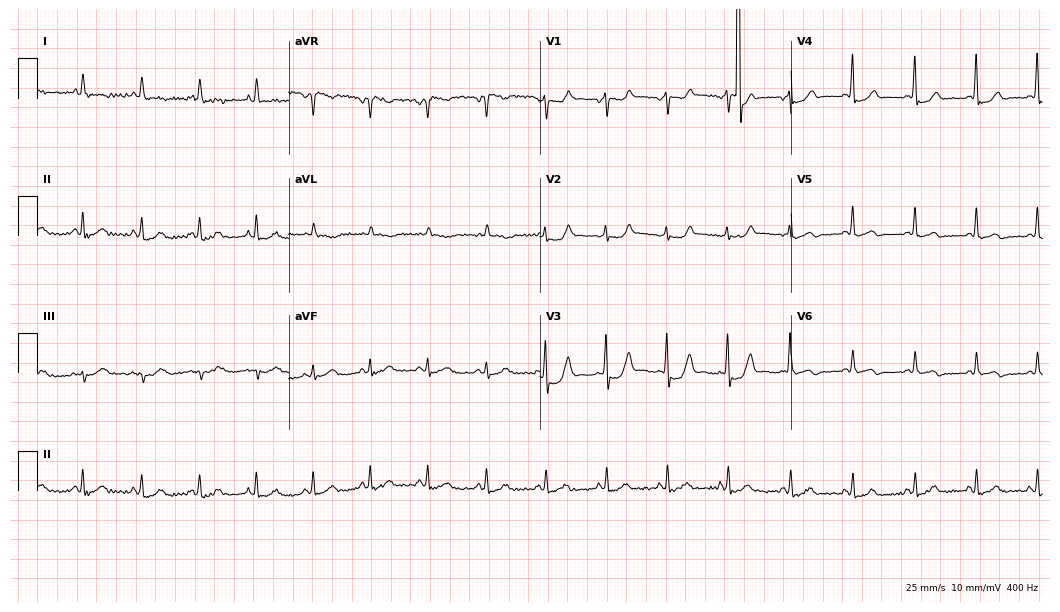
12-lead ECG (10.2-second recording at 400 Hz) from a 69-year-old woman. Screened for six findings — first-degree AV block, right bundle branch block, left bundle branch block, sinus bradycardia, atrial fibrillation, sinus tachycardia — none is recorded.